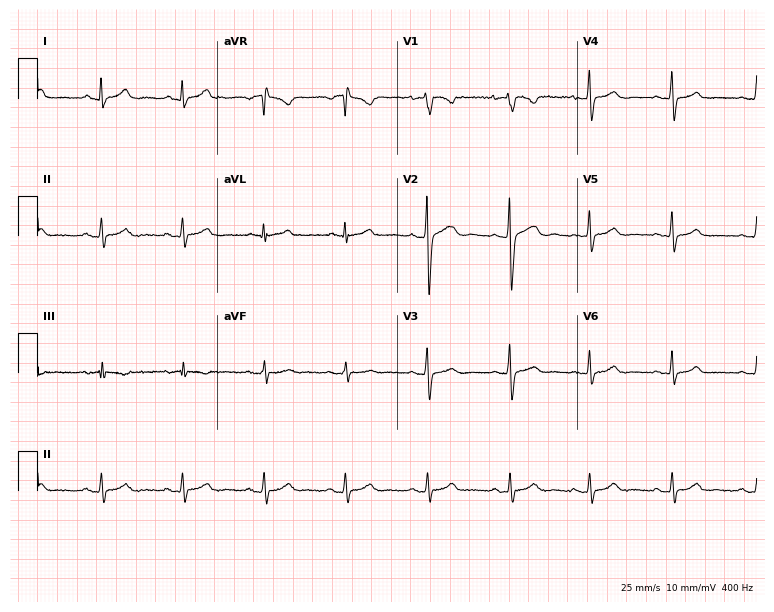
12-lead ECG from a woman, 30 years old. Labelled as a normal ECG.